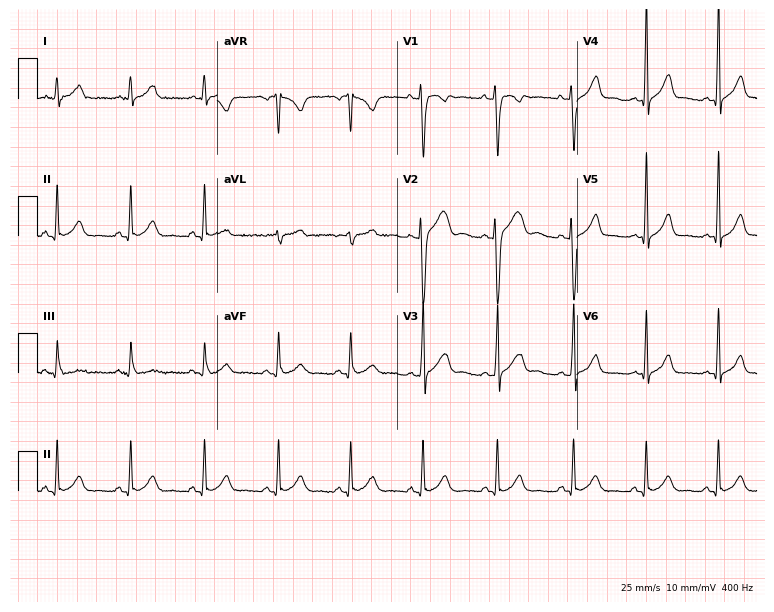
12-lead ECG (7.3-second recording at 400 Hz) from a man, 18 years old. Screened for six findings — first-degree AV block, right bundle branch block, left bundle branch block, sinus bradycardia, atrial fibrillation, sinus tachycardia — none is recorded. Other findings, if any, are not listed.